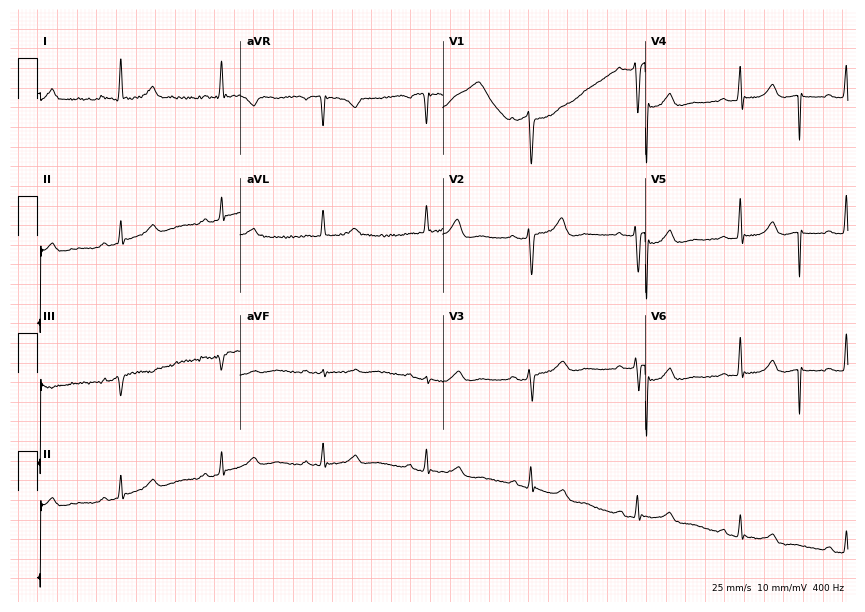
Resting 12-lead electrocardiogram. Patient: a 70-year-old woman. None of these six findings is recorded: first-degree AV block, right bundle branch block, left bundle branch block, sinus bradycardia, atrial fibrillation, sinus tachycardia. Other findings, if any, are not listed.